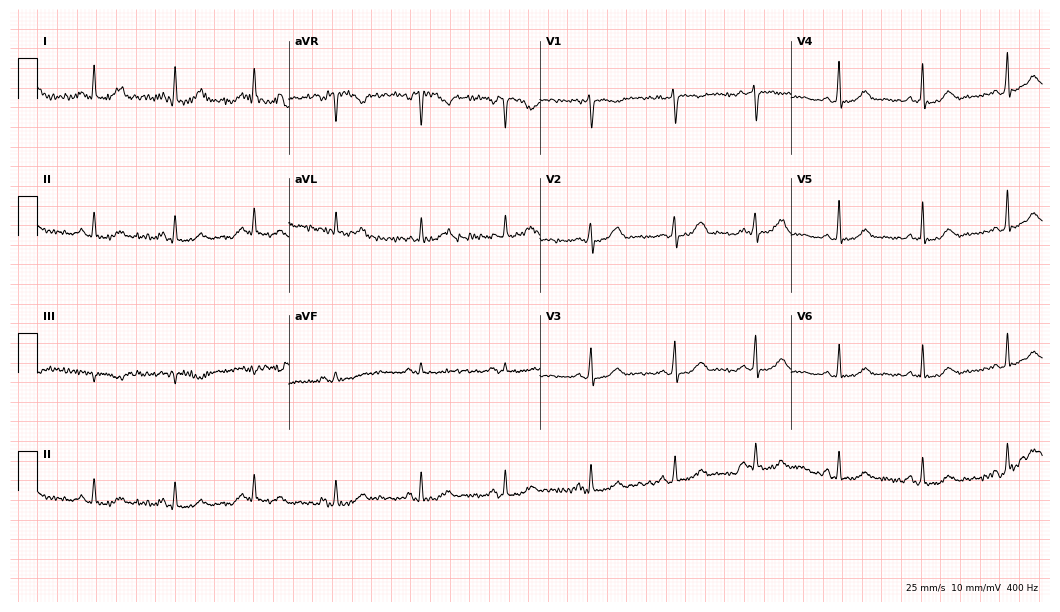
Resting 12-lead electrocardiogram. Patient: a 44-year-old woman. Read as a normal ECG.